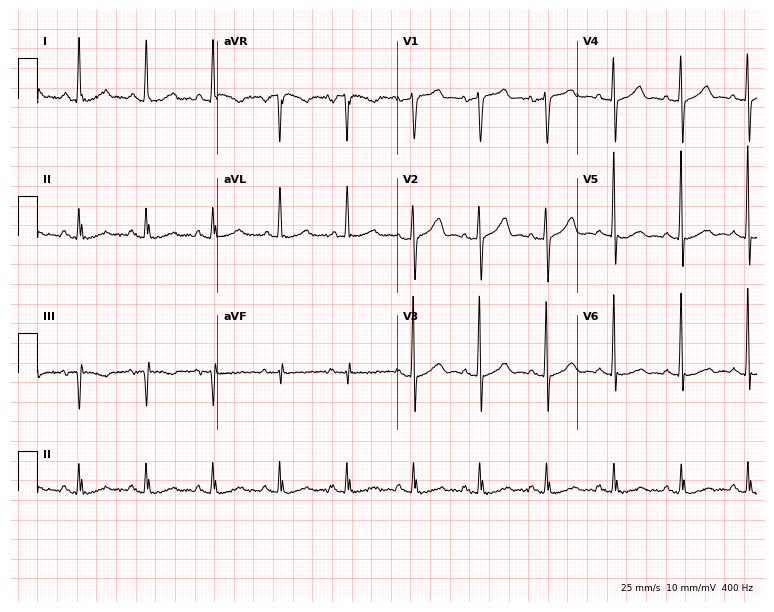
Electrocardiogram, an 81-year-old female. Overall reading on record: normal ECG.